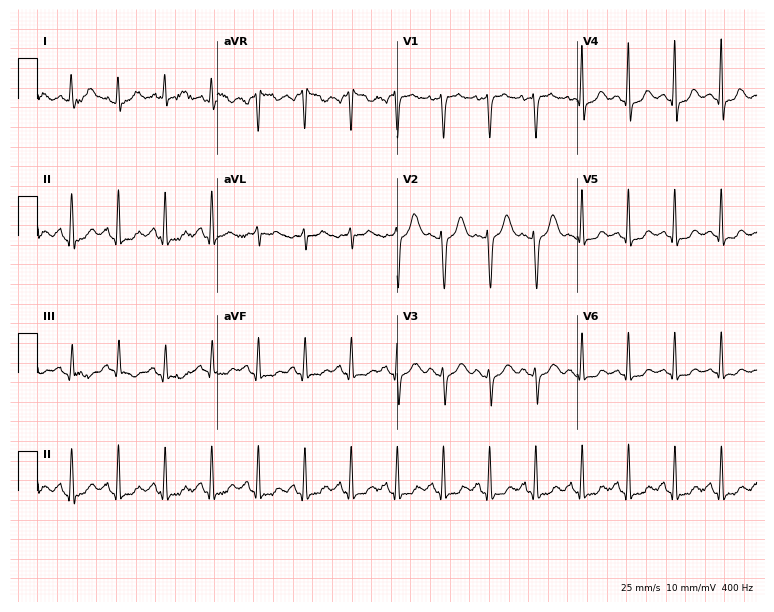
12-lead ECG from a 49-year-old woman (7.3-second recording at 400 Hz). Shows sinus tachycardia (a sinus rate of 100 beats per minute or more).